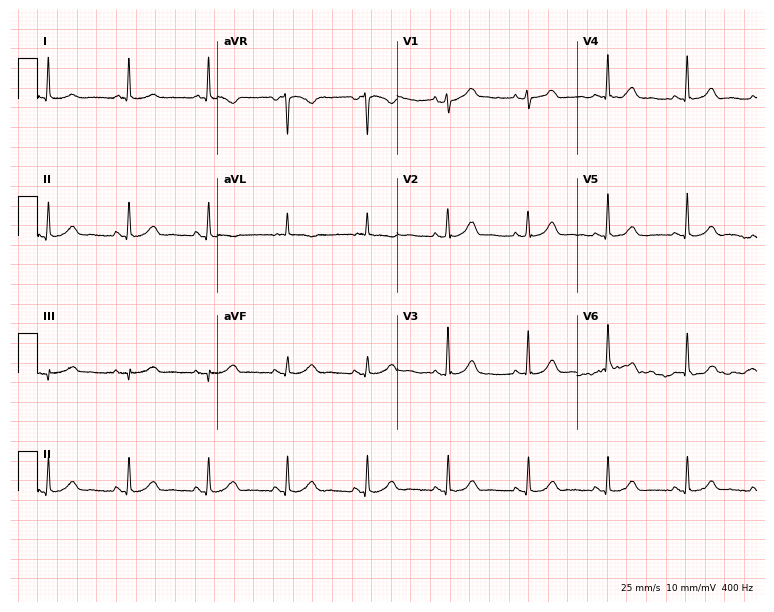
12-lead ECG from a 59-year-old female (7.3-second recording at 400 Hz). Recorded interpretation: within normal limits.